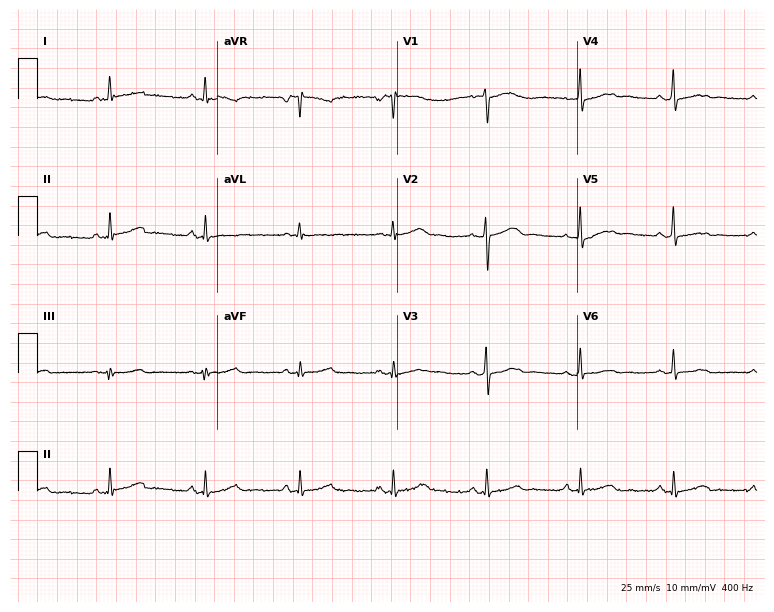
12-lead ECG (7.3-second recording at 400 Hz) from a female patient, 53 years old. Screened for six findings — first-degree AV block, right bundle branch block, left bundle branch block, sinus bradycardia, atrial fibrillation, sinus tachycardia — none is recorded.